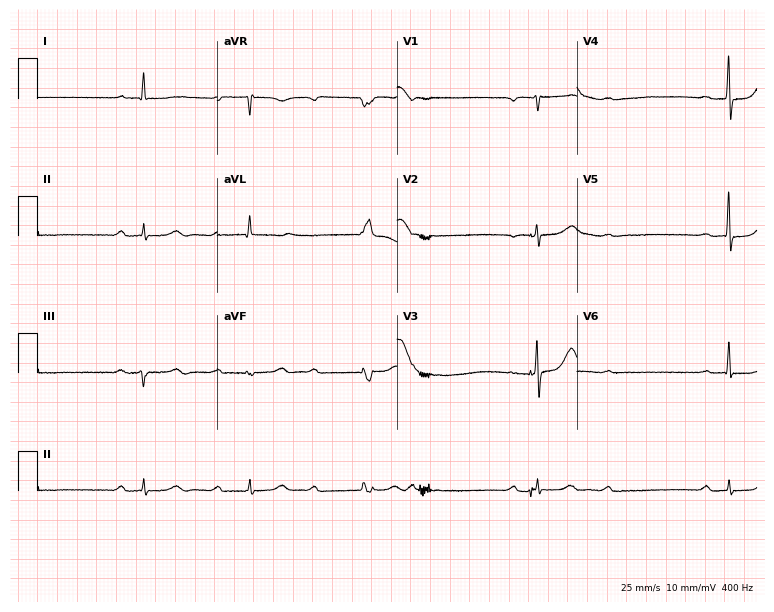
12-lead ECG from a 73-year-old male patient (7.3-second recording at 400 Hz). No first-degree AV block, right bundle branch block (RBBB), left bundle branch block (LBBB), sinus bradycardia, atrial fibrillation (AF) or sinus tachycardia recorded for this tracing.